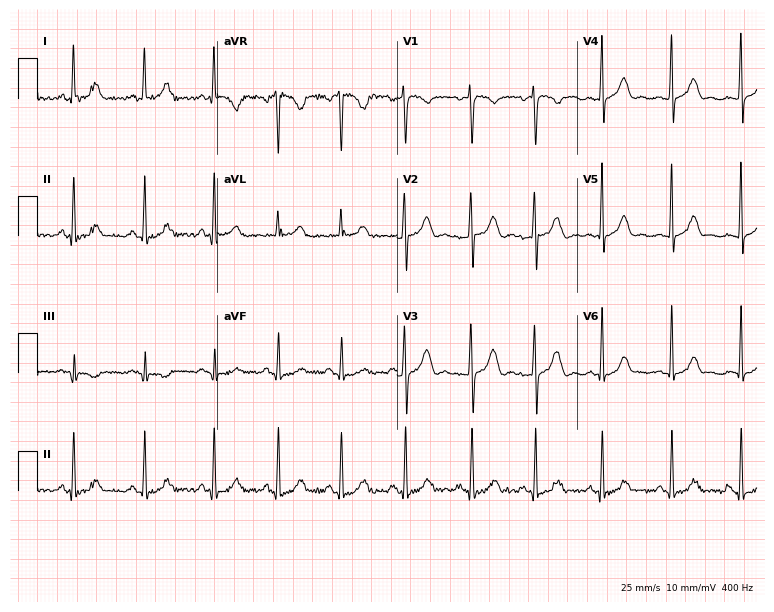
ECG (7.3-second recording at 400 Hz) — a female patient, 27 years old. Screened for six findings — first-degree AV block, right bundle branch block (RBBB), left bundle branch block (LBBB), sinus bradycardia, atrial fibrillation (AF), sinus tachycardia — none is recorded.